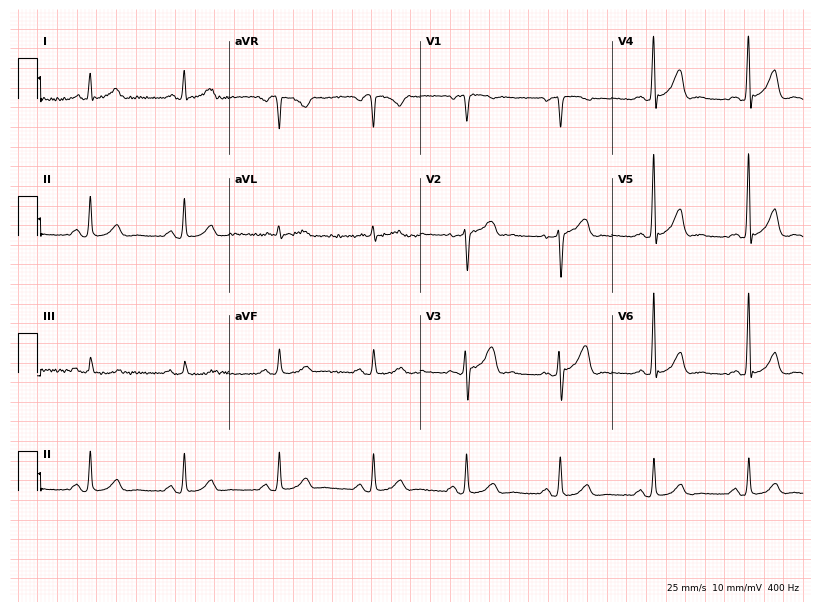
Standard 12-lead ECG recorded from a male patient, 53 years old. Read as a normal ECG.